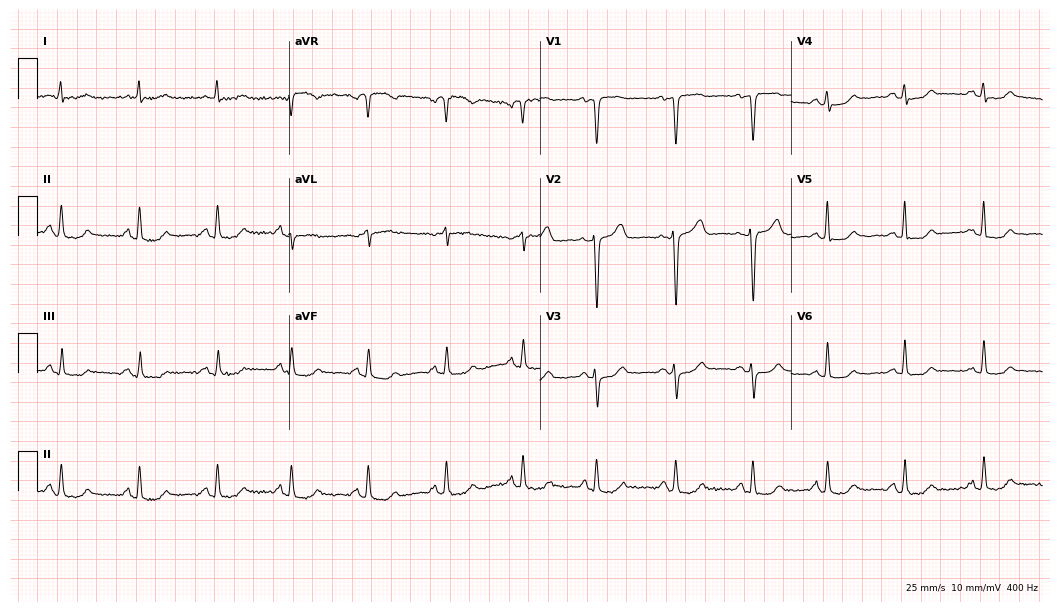
Resting 12-lead electrocardiogram (10.2-second recording at 400 Hz). Patient: an 80-year-old female. Read as a normal ECG.